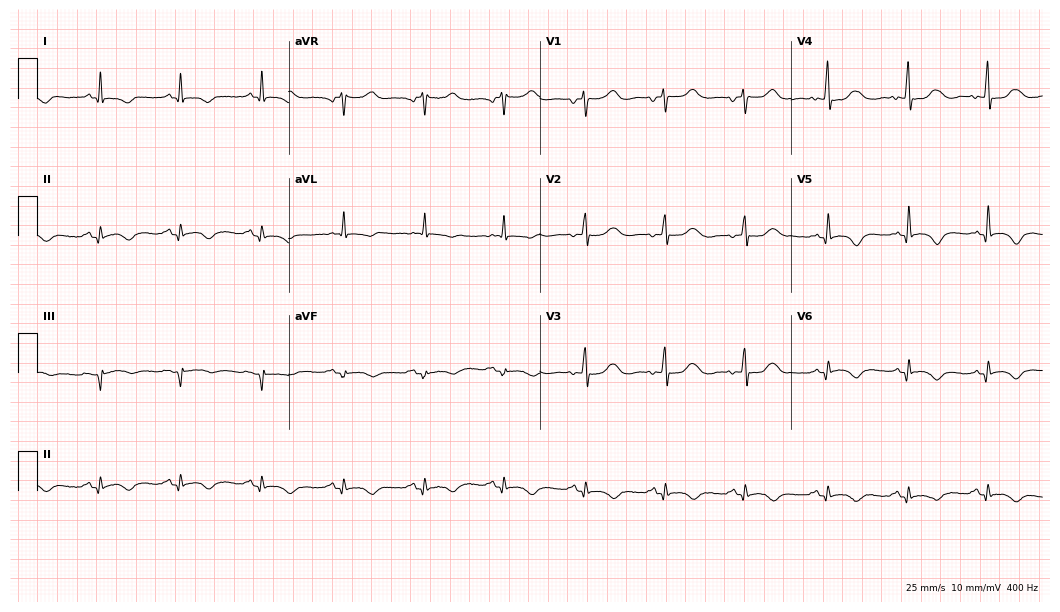
ECG (10.2-second recording at 400 Hz) — a 72-year-old female. Labelled as a normal ECG.